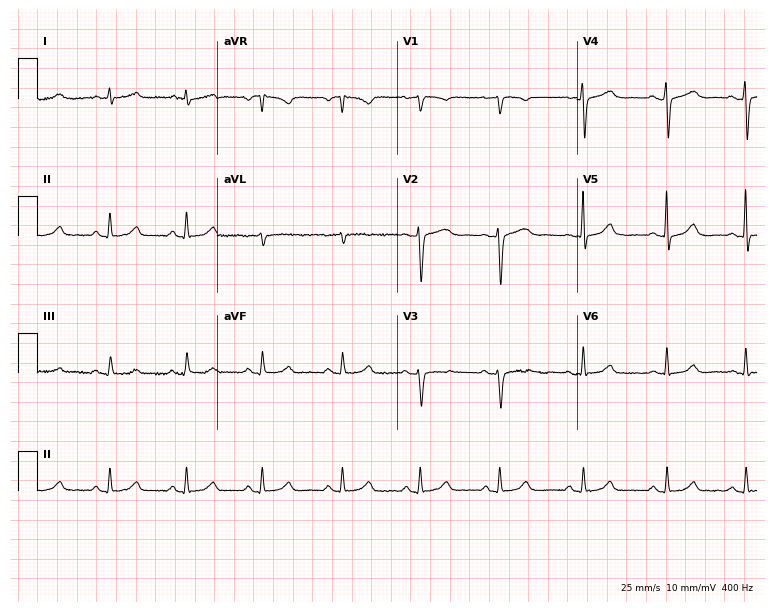
Electrocardiogram, a female patient, 49 years old. Overall reading on record: normal ECG.